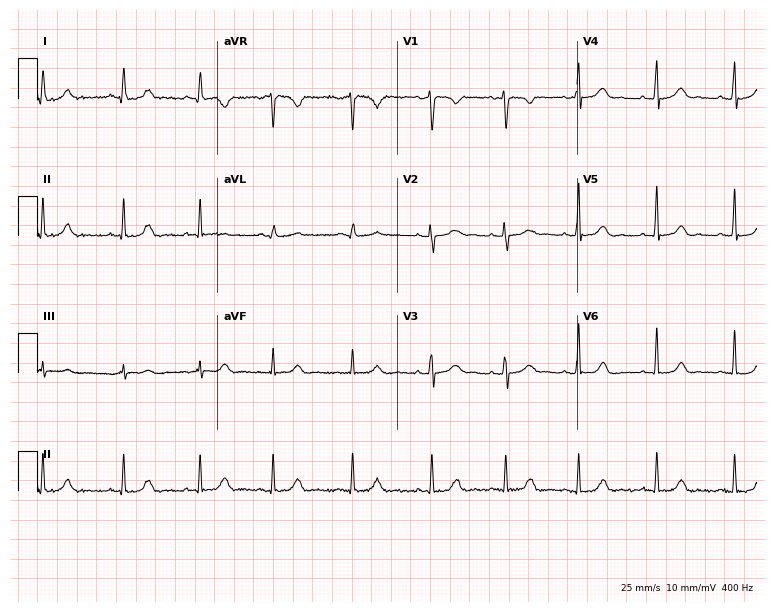
12-lead ECG from a 32-year-old female (7.3-second recording at 400 Hz). Recorded interpretation: within normal limits.